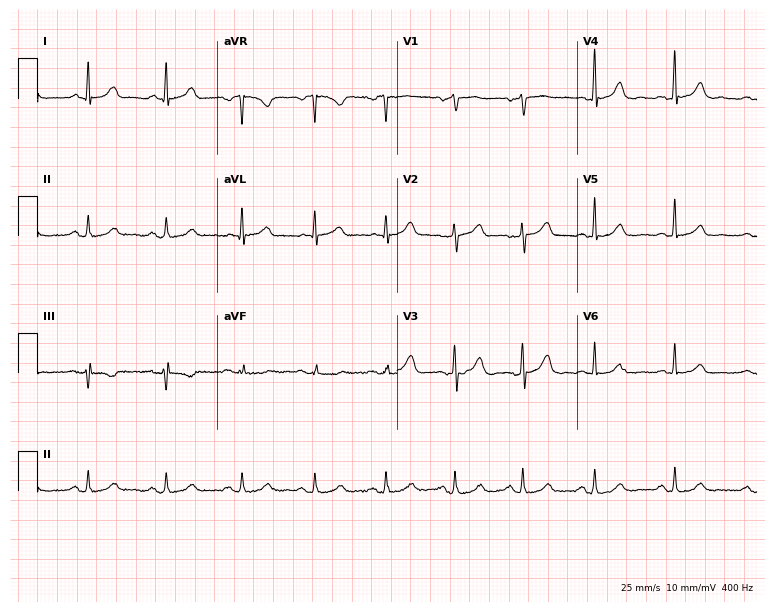
12-lead ECG from a 42-year-old female (7.3-second recording at 400 Hz). Recorded interpretation: within normal limits.